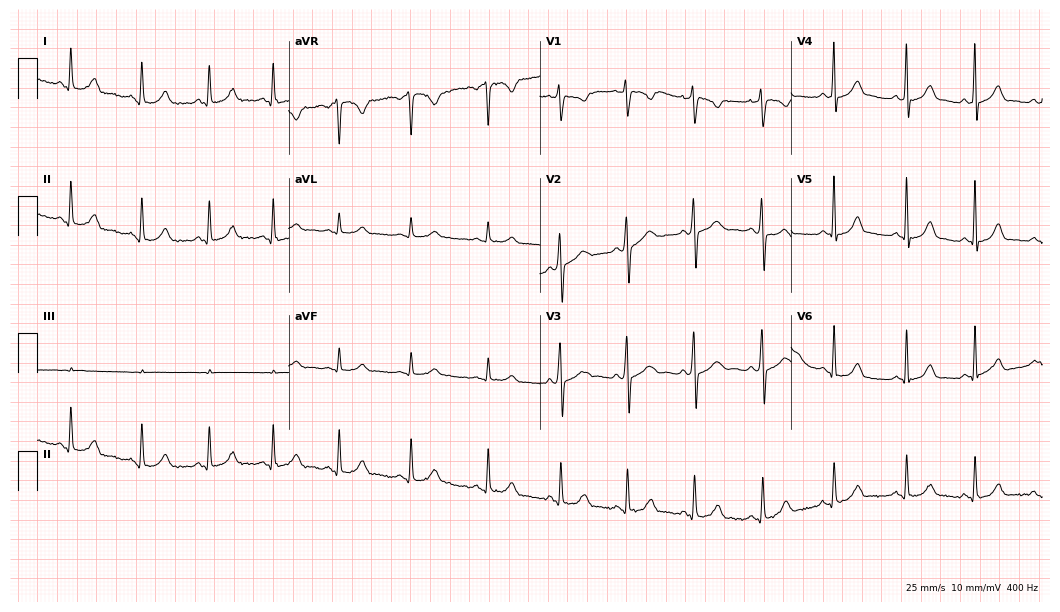
Electrocardiogram (10.2-second recording at 400 Hz), a 20-year-old female. Overall reading on record: normal ECG.